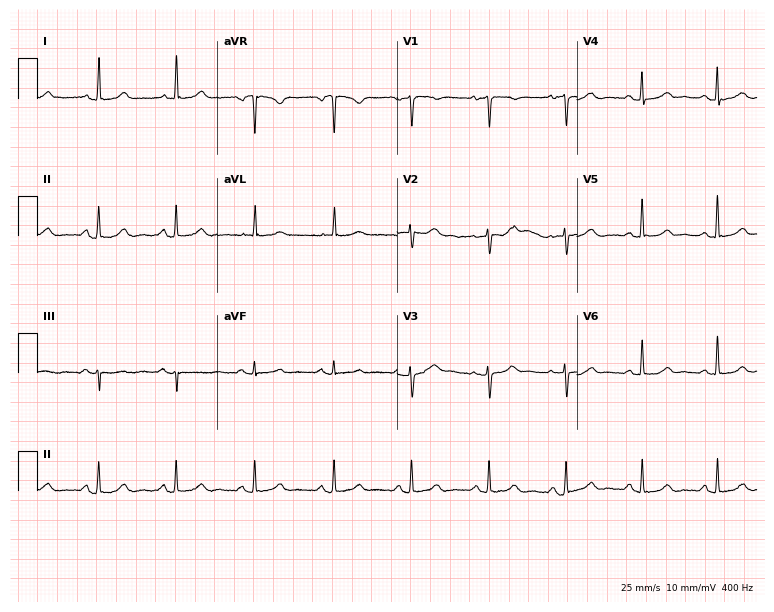
Resting 12-lead electrocardiogram. Patient: a female, 47 years old. Read as a normal ECG.